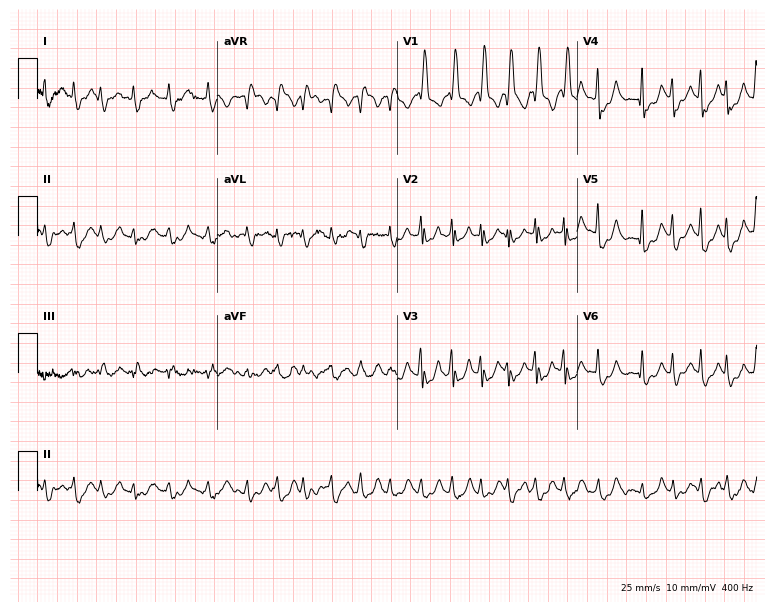
12-lead ECG from an 83-year-old female patient. Shows right bundle branch block (RBBB), atrial fibrillation (AF), sinus tachycardia (a sinus rate of 100 beats per minute or more).